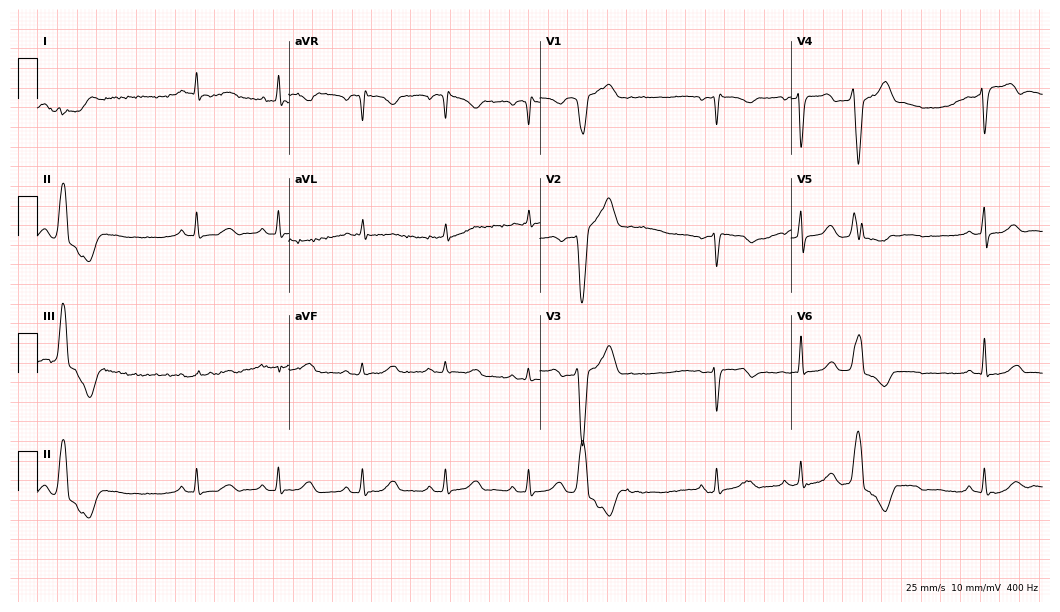
12-lead ECG (10.2-second recording at 400 Hz) from a 48-year-old female patient. Screened for six findings — first-degree AV block, right bundle branch block, left bundle branch block, sinus bradycardia, atrial fibrillation, sinus tachycardia — none is recorded.